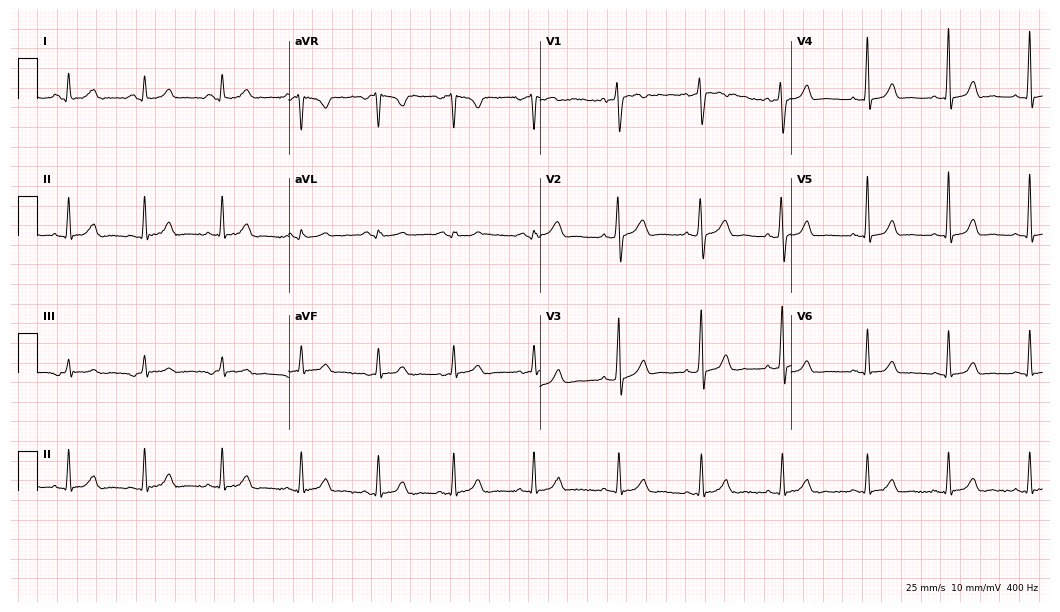
Standard 12-lead ECG recorded from a 35-year-old female. Read as a normal ECG.